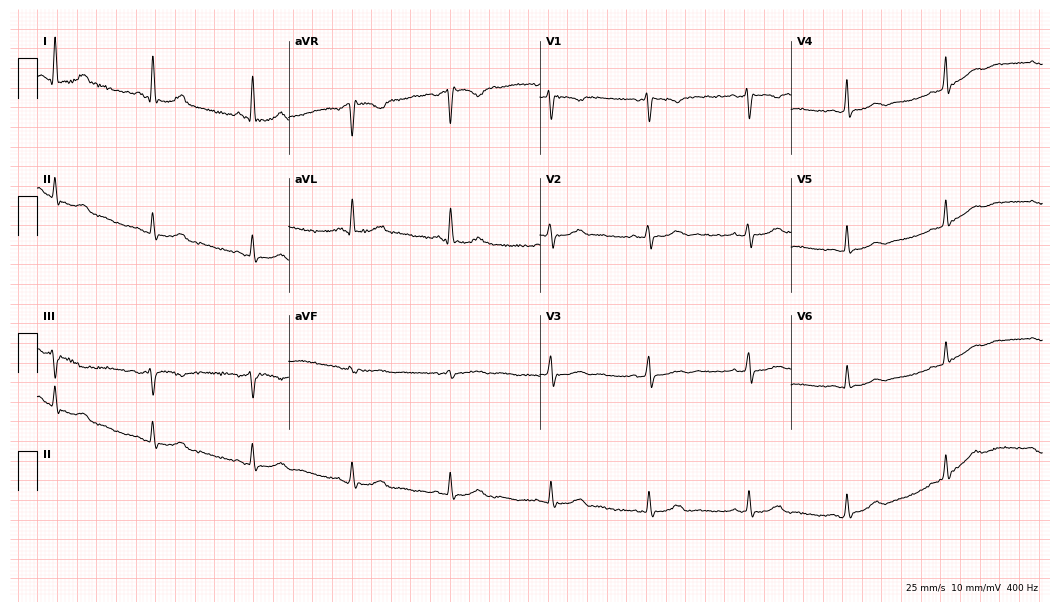
Resting 12-lead electrocardiogram. Patient: a 66-year-old female. Read as a normal ECG.